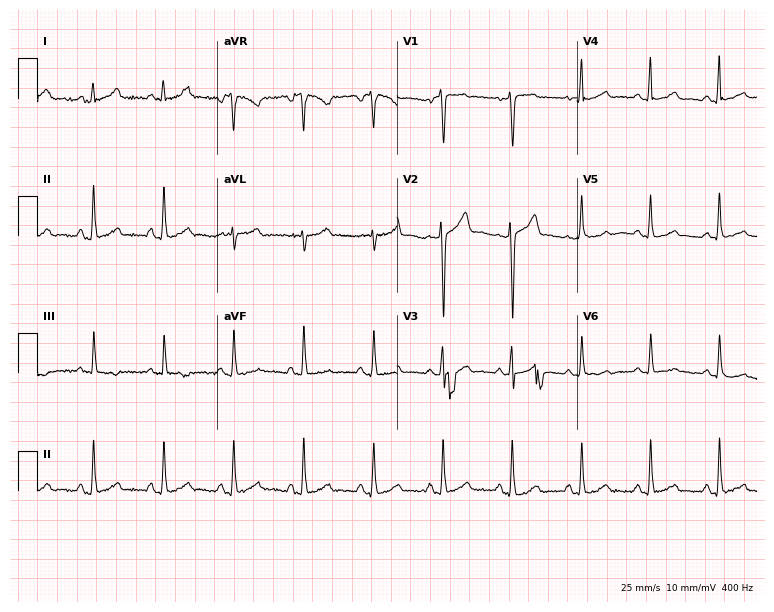
Standard 12-lead ECG recorded from a 57-year-old female patient (7.3-second recording at 400 Hz). Read as a normal ECG.